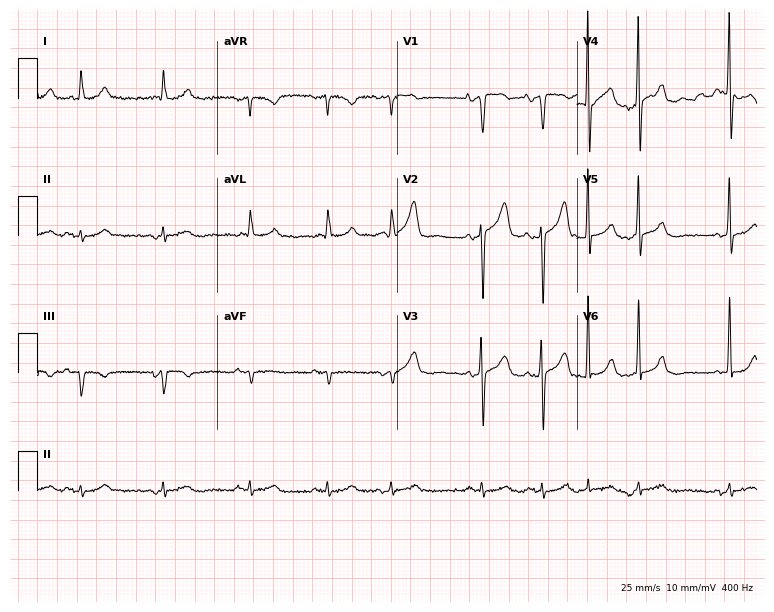
Standard 12-lead ECG recorded from a male patient, 78 years old. None of these six findings is recorded: first-degree AV block, right bundle branch block, left bundle branch block, sinus bradycardia, atrial fibrillation, sinus tachycardia. Other findings, if any, are not listed.